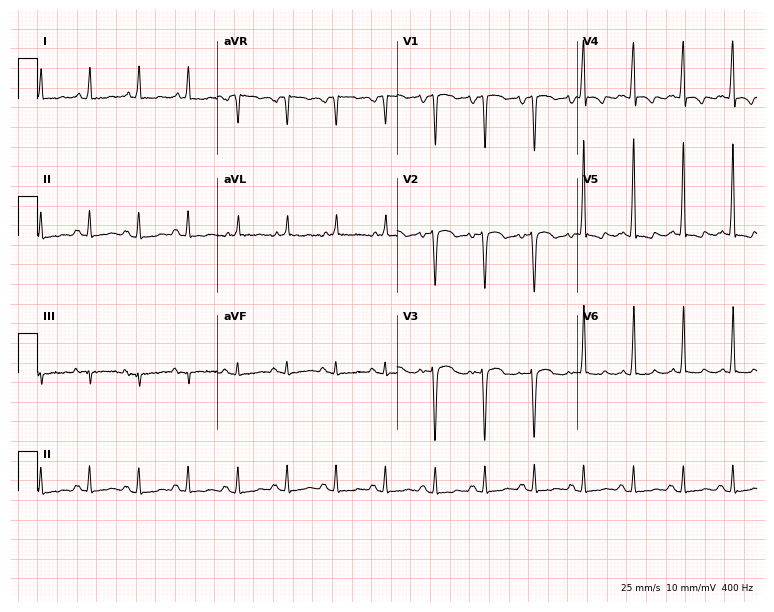
Resting 12-lead electrocardiogram (7.3-second recording at 400 Hz). Patient: a 33-year-old man. The tracing shows sinus tachycardia (a sinus rate of 100 beats per minute or more).